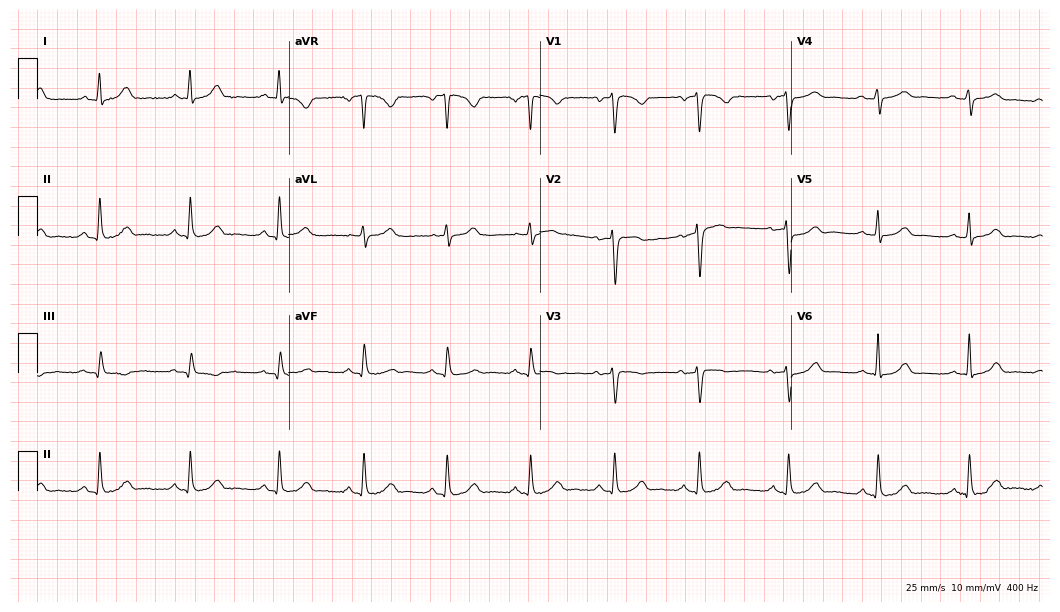
Standard 12-lead ECG recorded from a female patient, 38 years old (10.2-second recording at 400 Hz). Read as a normal ECG.